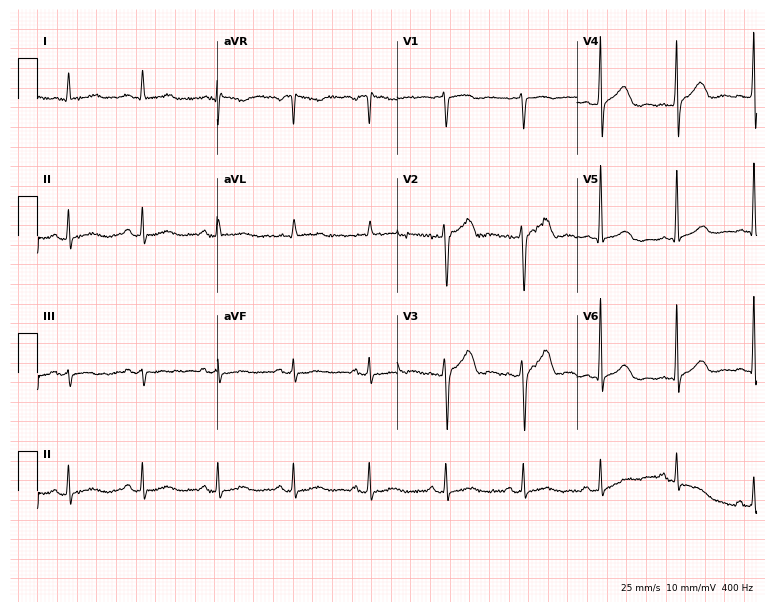
12-lead ECG from a male, 57 years old (7.3-second recording at 400 Hz). No first-degree AV block, right bundle branch block, left bundle branch block, sinus bradycardia, atrial fibrillation or sinus tachycardia recorded for this tracing. Only these six findings were labelled.